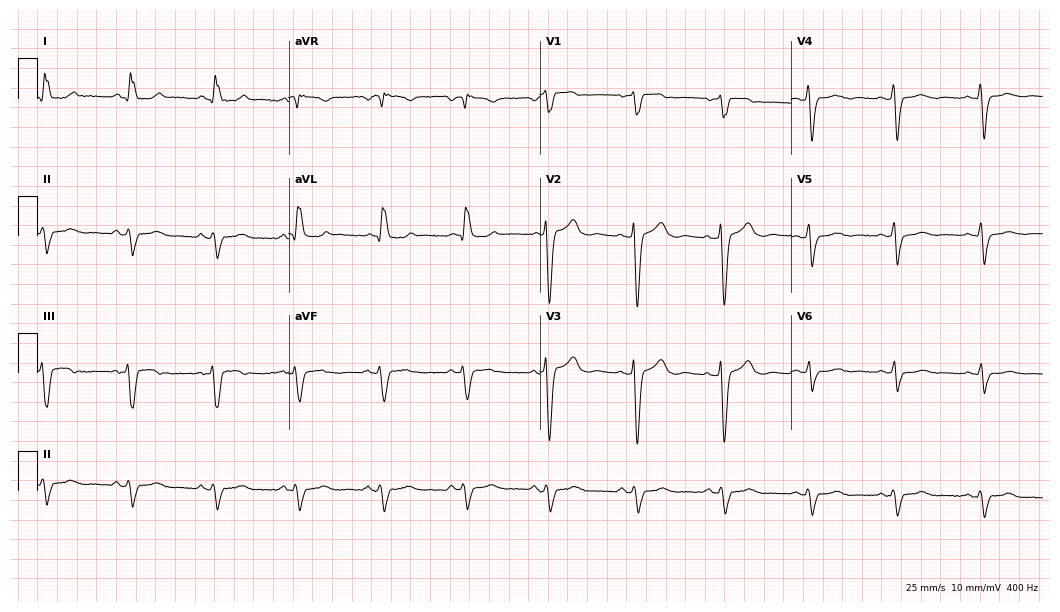
Standard 12-lead ECG recorded from a 72-year-old woman (10.2-second recording at 400 Hz). None of these six findings is recorded: first-degree AV block, right bundle branch block, left bundle branch block, sinus bradycardia, atrial fibrillation, sinus tachycardia. Other findings, if any, are not listed.